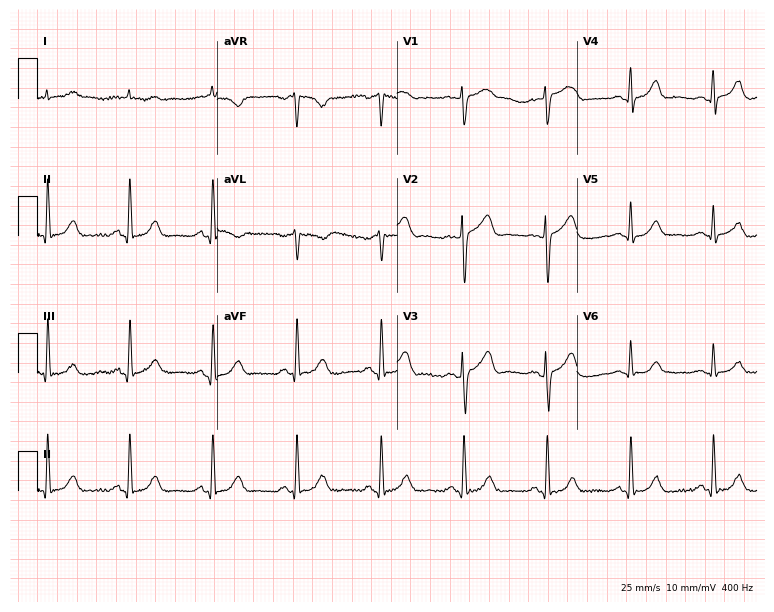
Standard 12-lead ECG recorded from a male patient, 74 years old. Read as a normal ECG.